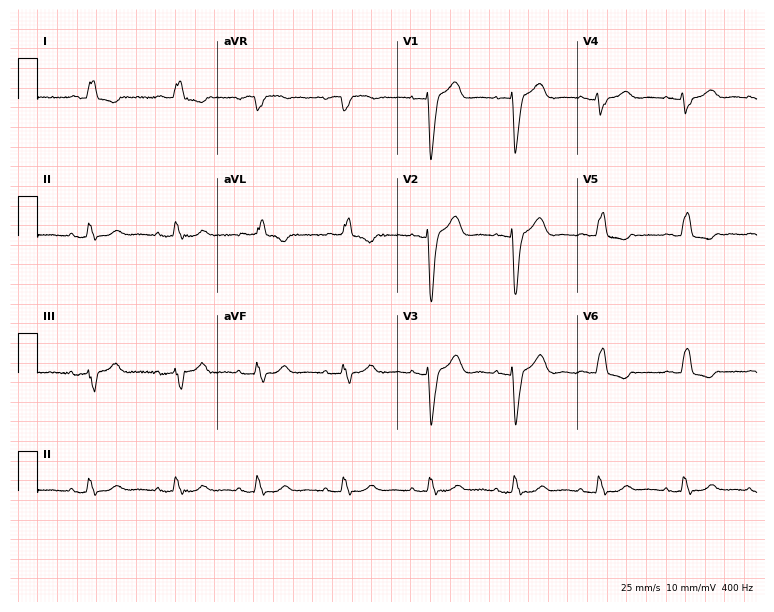
ECG (7.3-second recording at 400 Hz) — a female patient, 80 years old. Findings include left bundle branch block.